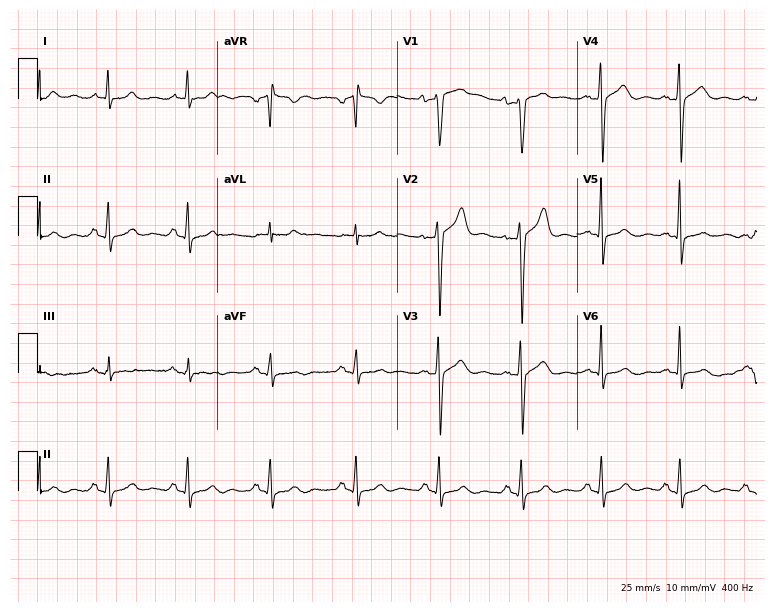
Resting 12-lead electrocardiogram. Patient: a male, 36 years old. None of these six findings is recorded: first-degree AV block, right bundle branch block, left bundle branch block, sinus bradycardia, atrial fibrillation, sinus tachycardia. Other findings, if any, are not listed.